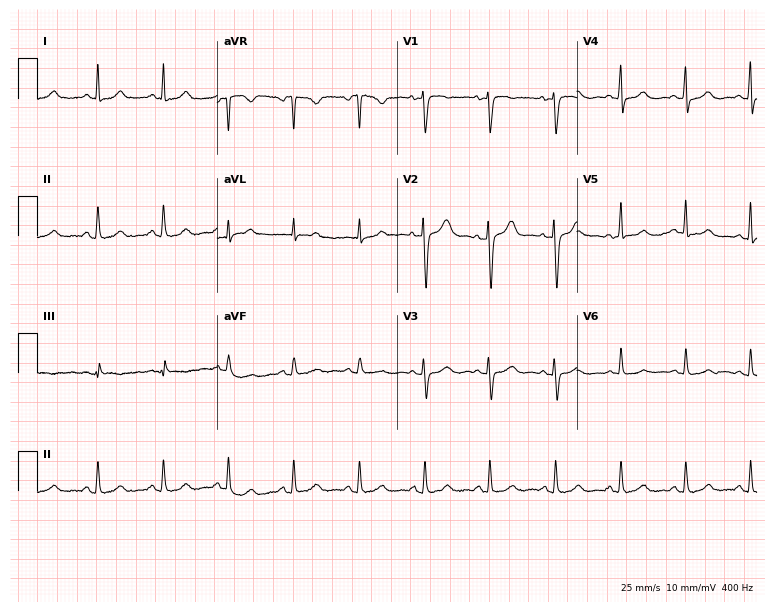
12-lead ECG from a female patient, 41 years old. Labelled as a normal ECG.